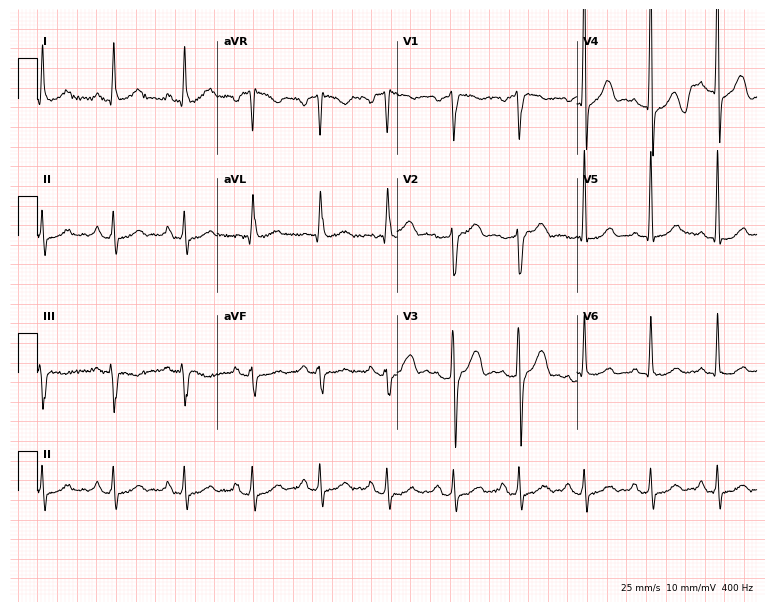
12-lead ECG from a male, 39 years old. Labelled as a normal ECG.